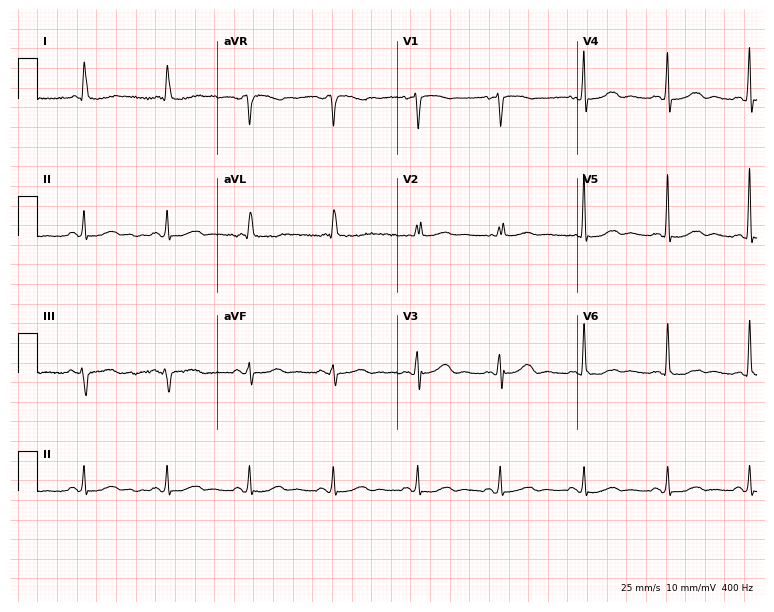
Standard 12-lead ECG recorded from a woman, 67 years old. None of these six findings is recorded: first-degree AV block, right bundle branch block, left bundle branch block, sinus bradycardia, atrial fibrillation, sinus tachycardia.